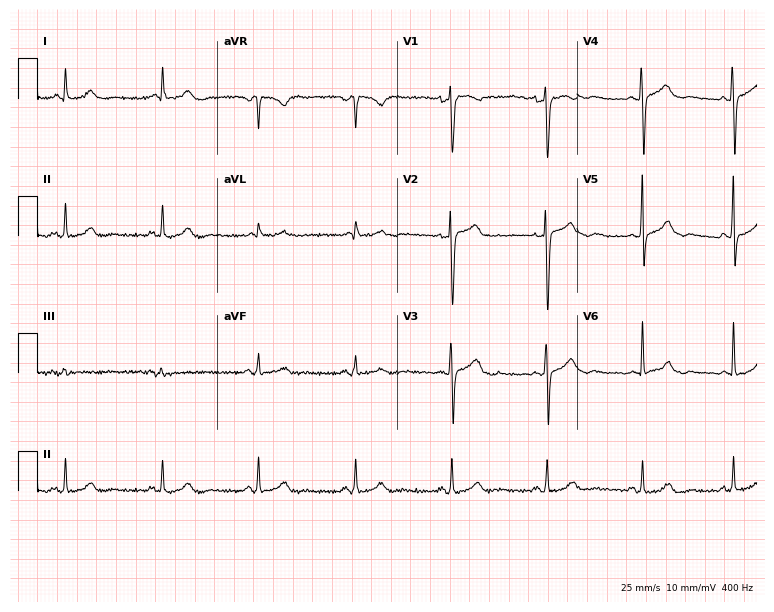
Electrocardiogram, a female patient, 40 years old. Overall reading on record: normal ECG.